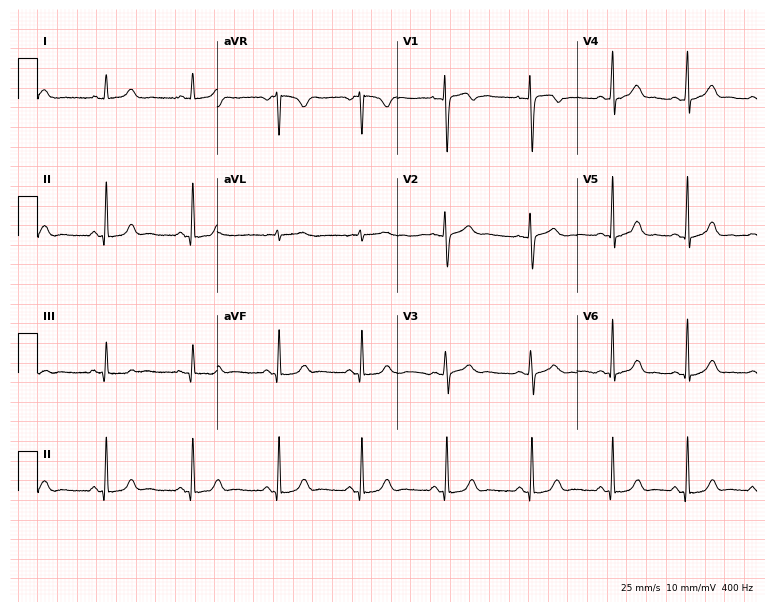
Standard 12-lead ECG recorded from a woman, 33 years old (7.3-second recording at 400 Hz). Read as a normal ECG.